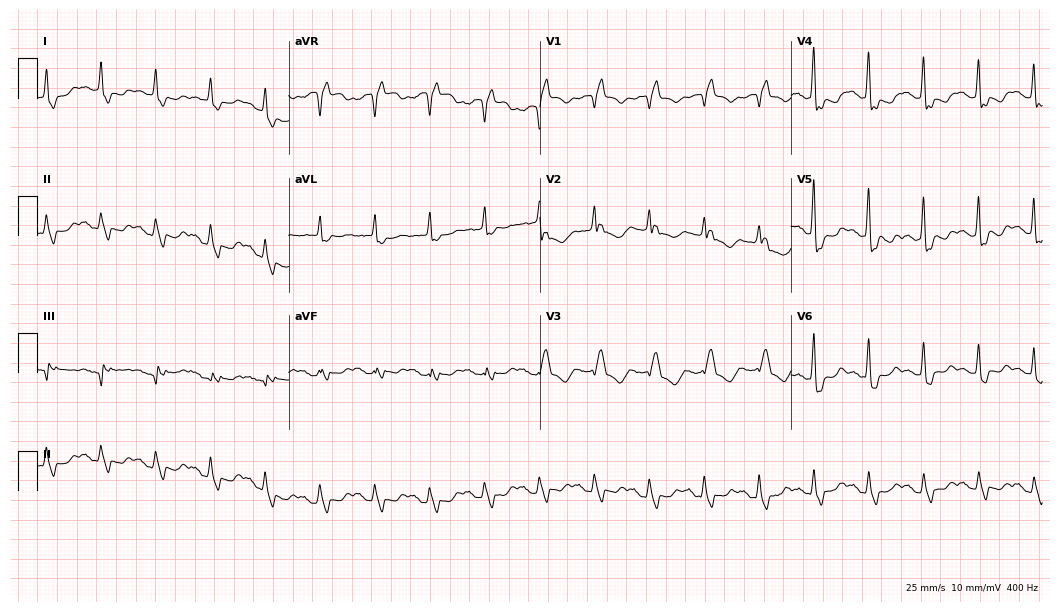
12-lead ECG from a man, 62 years old. Shows right bundle branch block, sinus tachycardia (a sinus rate of 100 beats per minute or more).